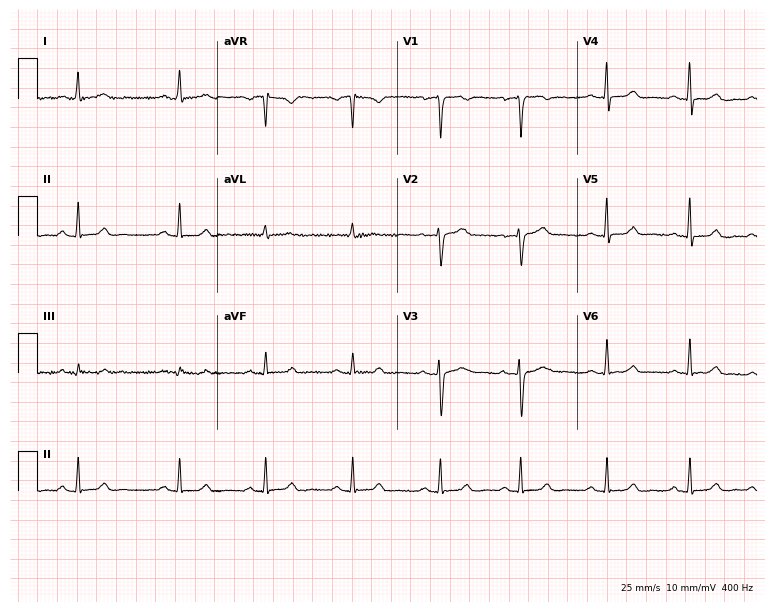
ECG (7.3-second recording at 400 Hz) — a 34-year-old female. Labelled as a normal ECG.